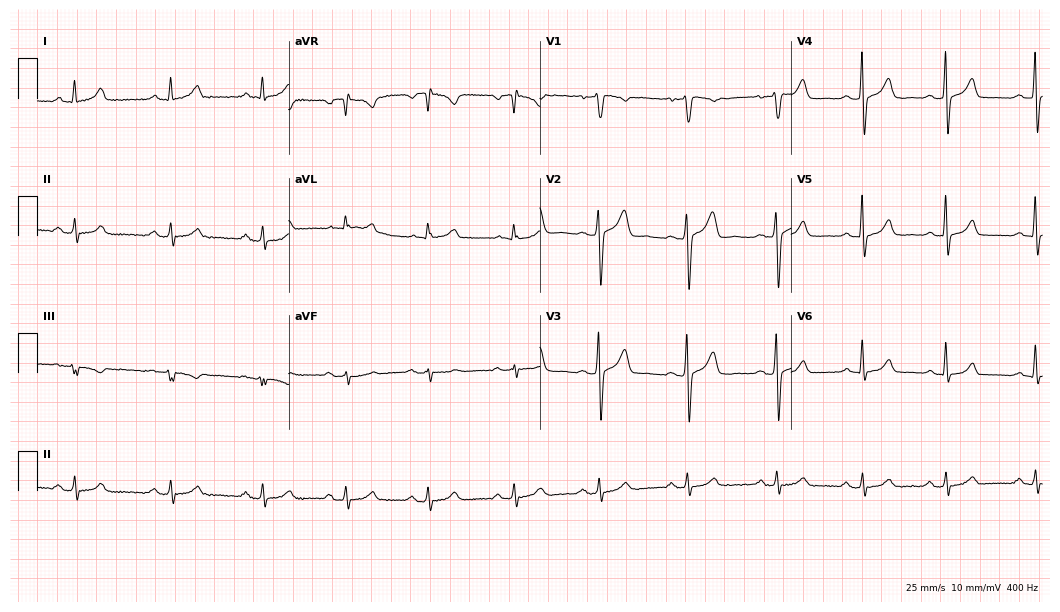
Electrocardiogram, a 44-year-old male patient. Overall reading on record: normal ECG.